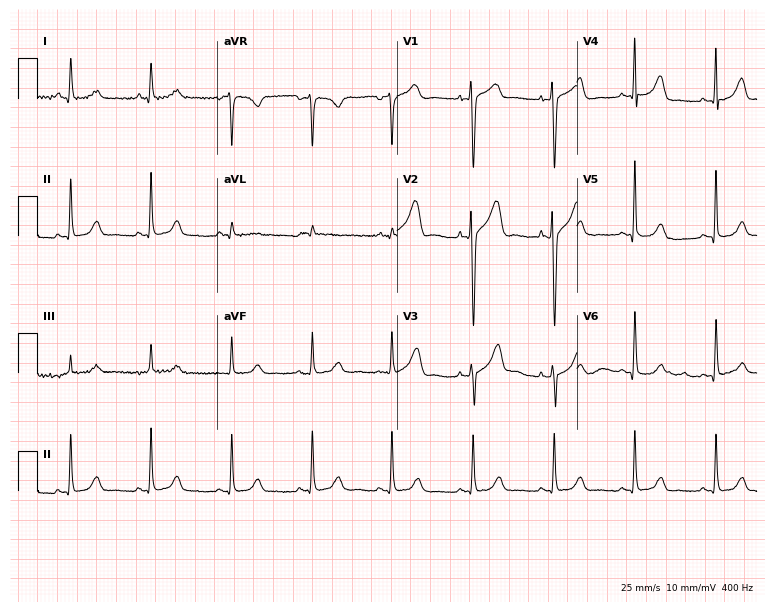
Electrocardiogram, a 51-year-old woman. Of the six screened findings (first-degree AV block, right bundle branch block (RBBB), left bundle branch block (LBBB), sinus bradycardia, atrial fibrillation (AF), sinus tachycardia), none is recorded.